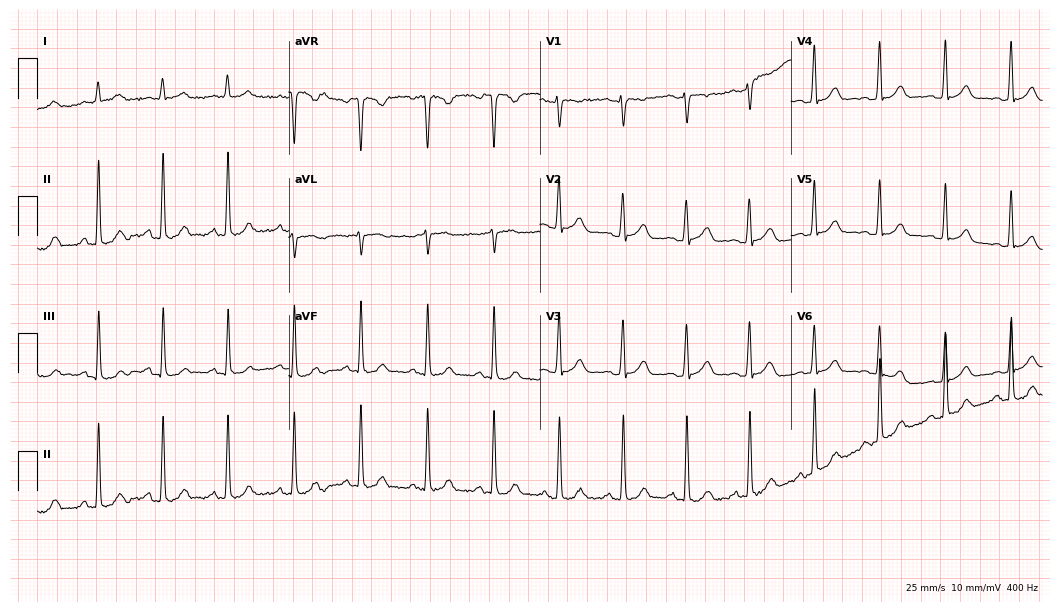
12-lead ECG from a female, 33 years old (10.2-second recording at 400 Hz). No first-degree AV block, right bundle branch block, left bundle branch block, sinus bradycardia, atrial fibrillation or sinus tachycardia recorded for this tracing. Only these six findings were labelled.